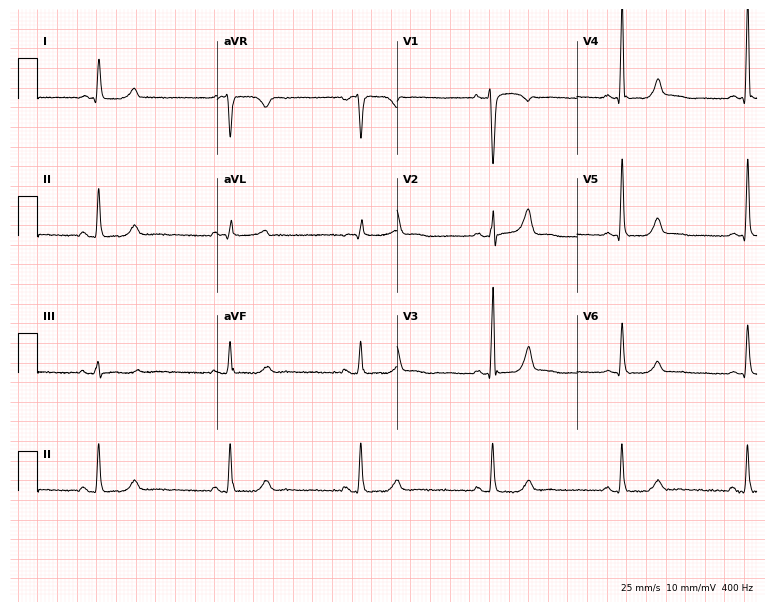
12-lead ECG from a female patient, 52 years old. Shows sinus bradycardia (a sinus rate of 50 beats per minute or less).